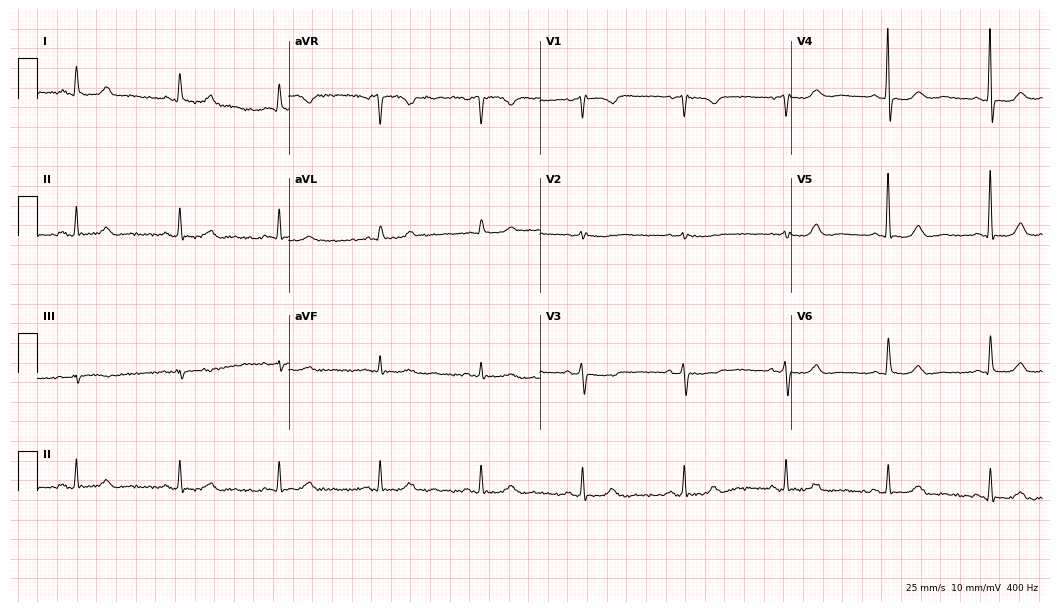
Standard 12-lead ECG recorded from a female patient, 75 years old (10.2-second recording at 400 Hz). None of these six findings is recorded: first-degree AV block, right bundle branch block (RBBB), left bundle branch block (LBBB), sinus bradycardia, atrial fibrillation (AF), sinus tachycardia. Findings outside these six are not listed.